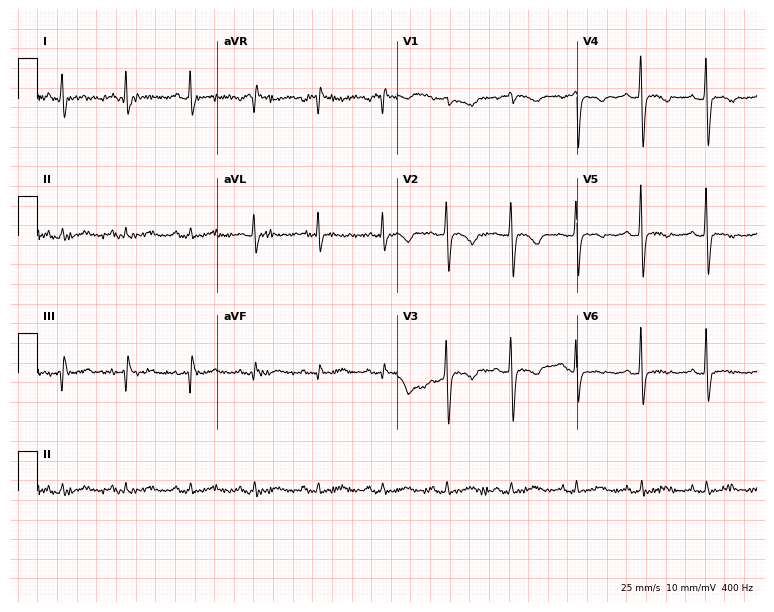
Electrocardiogram (7.3-second recording at 400 Hz), a female patient, 51 years old. Of the six screened findings (first-degree AV block, right bundle branch block, left bundle branch block, sinus bradycardia, atrial fibrillation, sinus tachycardia), none is recorded.